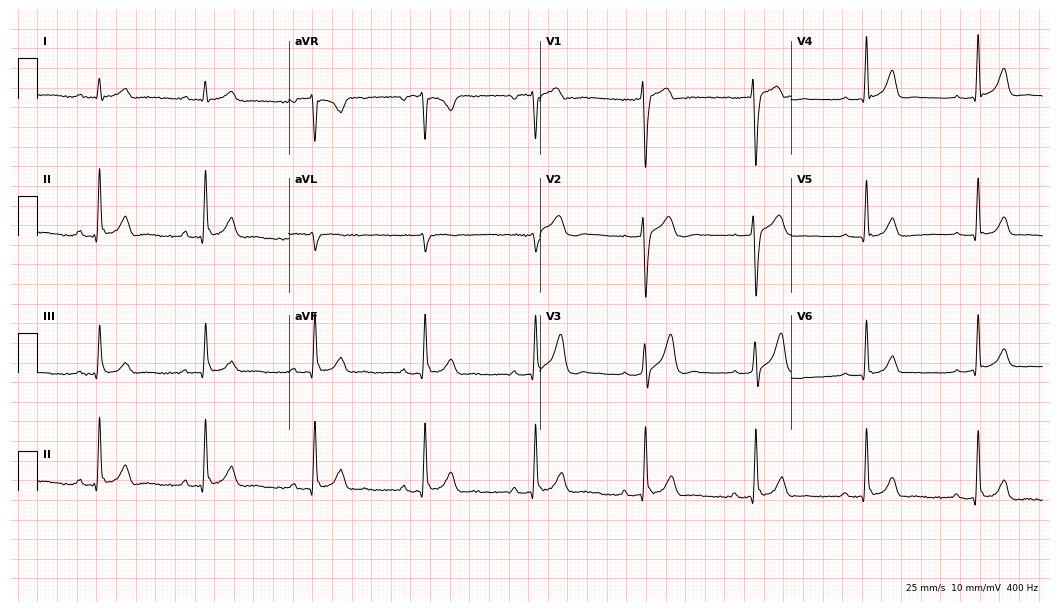
12-lead ECG (10.2-second recording at 400 Hz) from a male patient, 44 years old. Screened for six findings — first-degree AV block, right bundle branch block, left bundle branch block, sinus bradycardia, atrial fibrillation, sinus tachycardia — none is recorded. Findings outside these six are not listed.